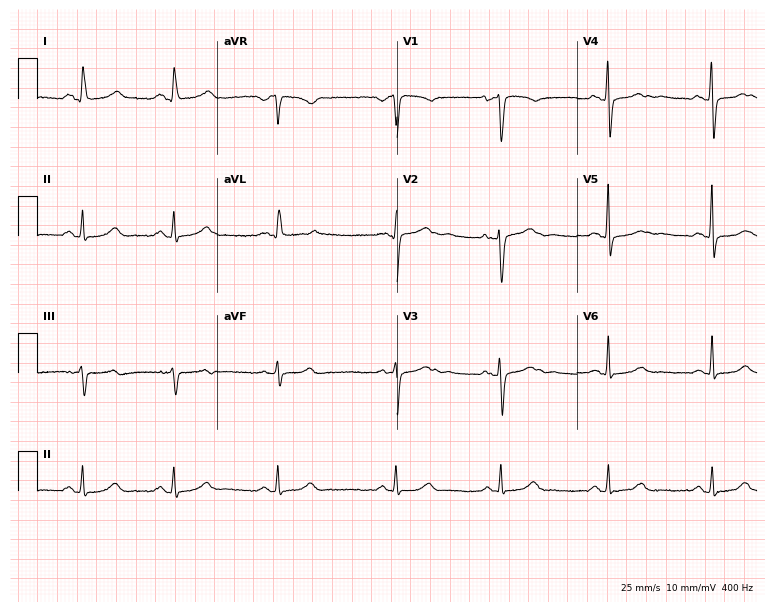
Electrocardiogram (7.3-second recording at 400 Hz), a 38-year-old female patient. Of the six screened findings (first-degree AV block, right bundle branch block, left bundle branch block, sinus bradycardia, atrial fibrillation, sinus tachycardia), none is recorded. Other findings, if any, are not listed.